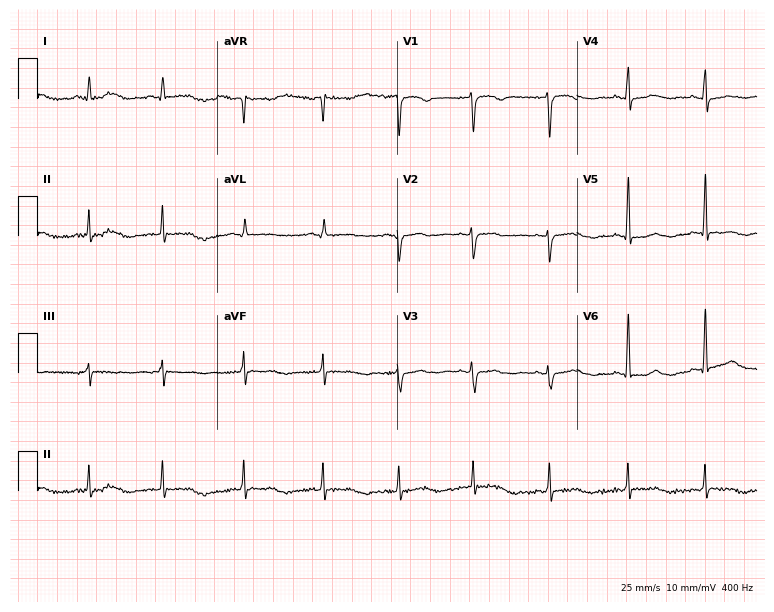
12-lead ECG (7.3-second recording at 400 Hz) from a woman, 69 years old. Screened for six findings — first-degree AV block, right bundle branch block, left bundle branch block, sinus bradycardia, atrial fibrillation, sinus tachycardia — none is recorded. Findings outside these six are not listed.